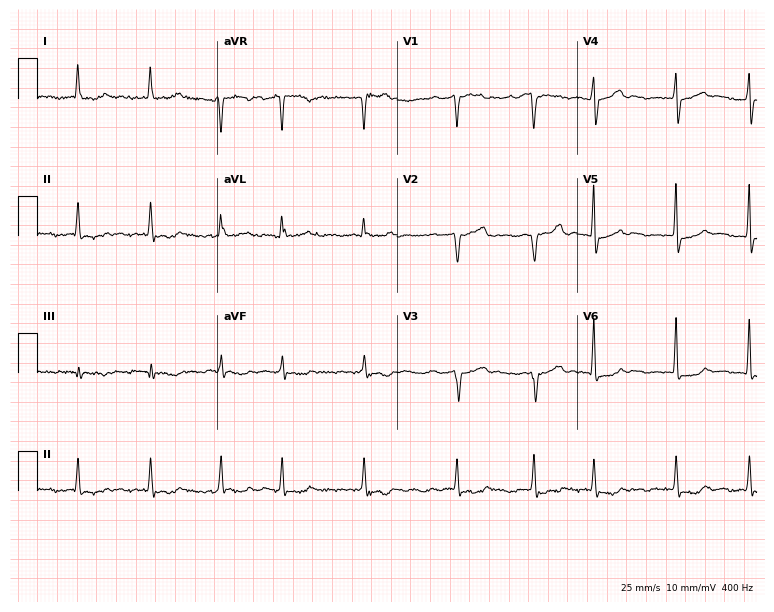
Resting 12-lead electrocardiogram. Patient: an 83-year-old female. None of these six findings is recorded: first-degree AV block, right bundle branch block, left bundle branch block, sinus bradycardia, atrial fibrillation, sinus tachycardia.